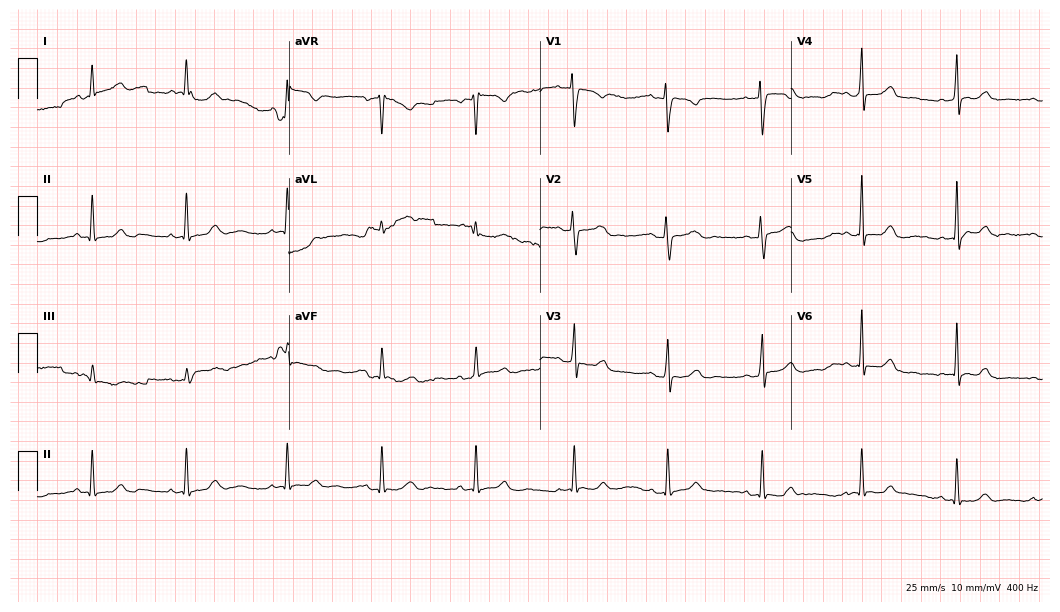
Standard 12-lead ECG recorded from a 34-year-old female. Read as a normal ECG.